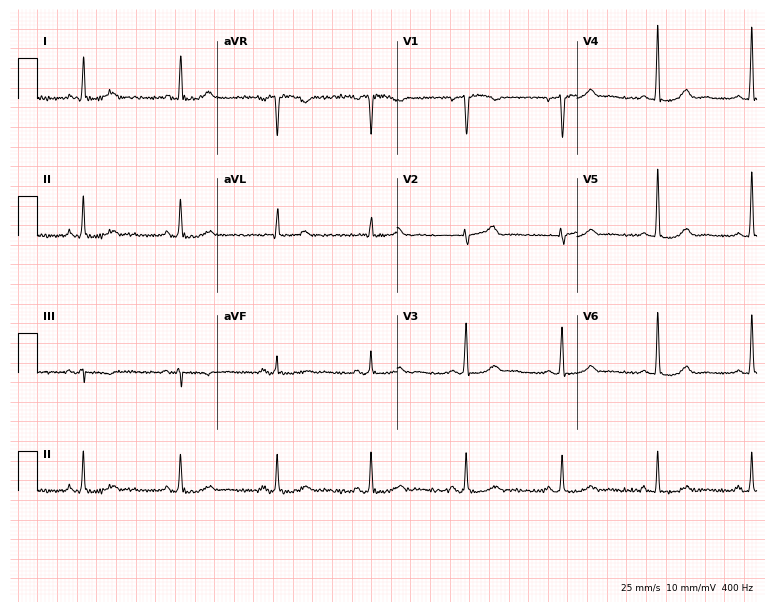
12-lead ECG from a female patient, 64 years old. No first-degree AV block, right bundle branch block (RBBB), left bundle branch block (LBBB), sinus bradycardia, atrial fibrillation (AF) or sinus tachycardia recorded for this tracing.